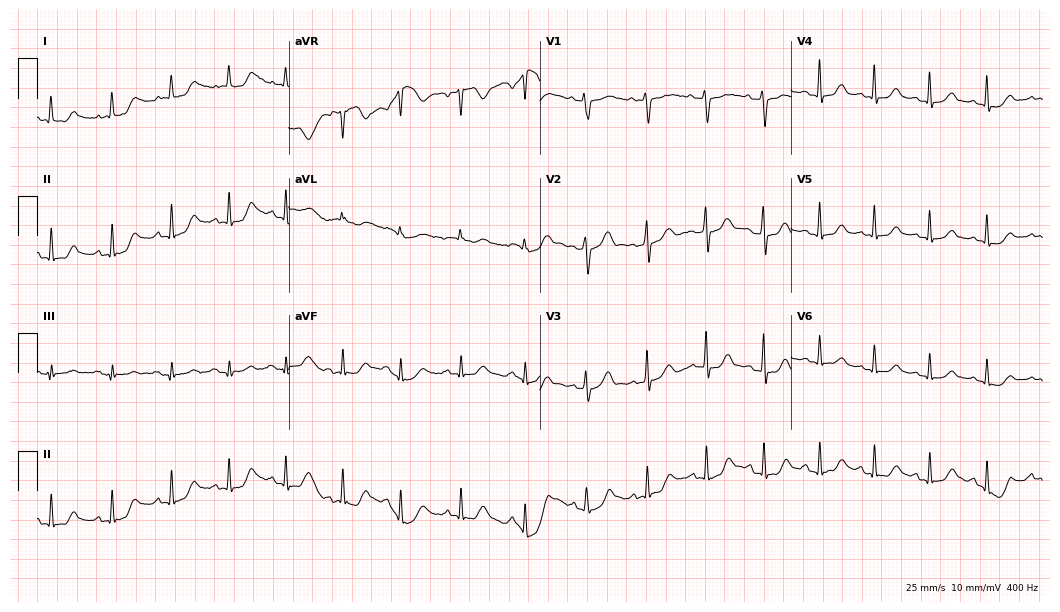
Electrocardiogram (10.2-second recording at 400 Hz), a 48-year-old woman. Of the six screened findings (first-degree AV block, right bundle branch block (RBBB), left bundle branch block (LBBB), sinus bradycardia, atrial fibrillation (AF), sinus tachycardia), none is recorded. Other findings, if any, are not listed.